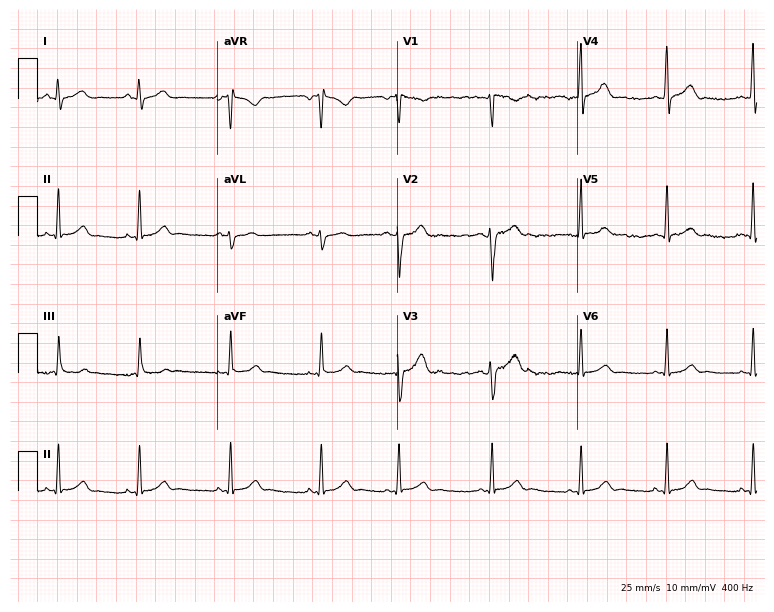
ECG (7.3-second recording at 400 Hz) — a female patient, 24 years old. Labelled as a normal ECG.